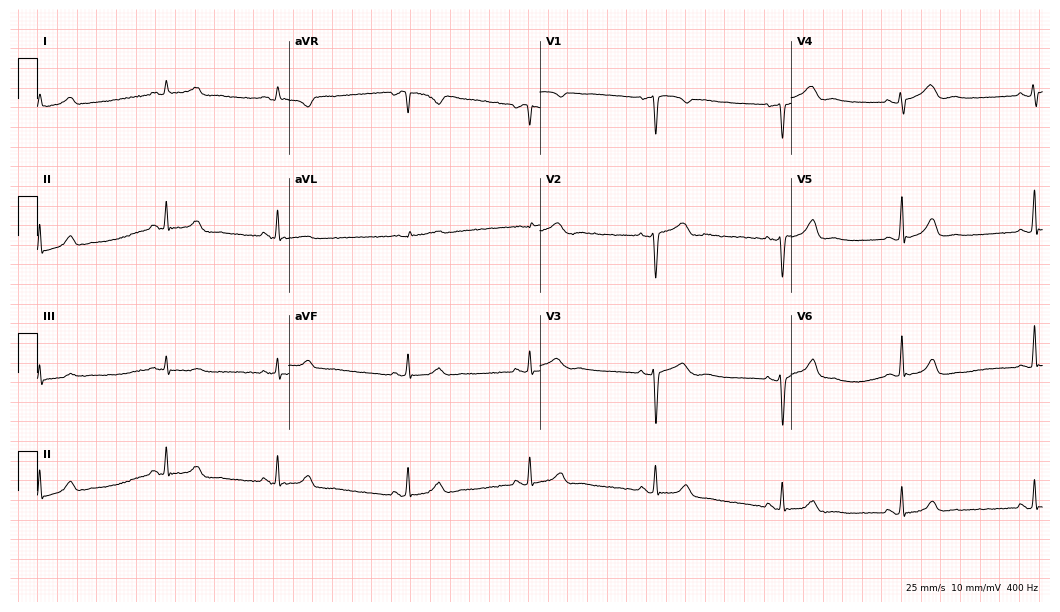
Standard 12-lead ECG recorded from a 37-year-old female (10.2-second recording at 400 Hz). The tracing shows sinus bradycardia (a sinus rate of 50 beats per minute or less).